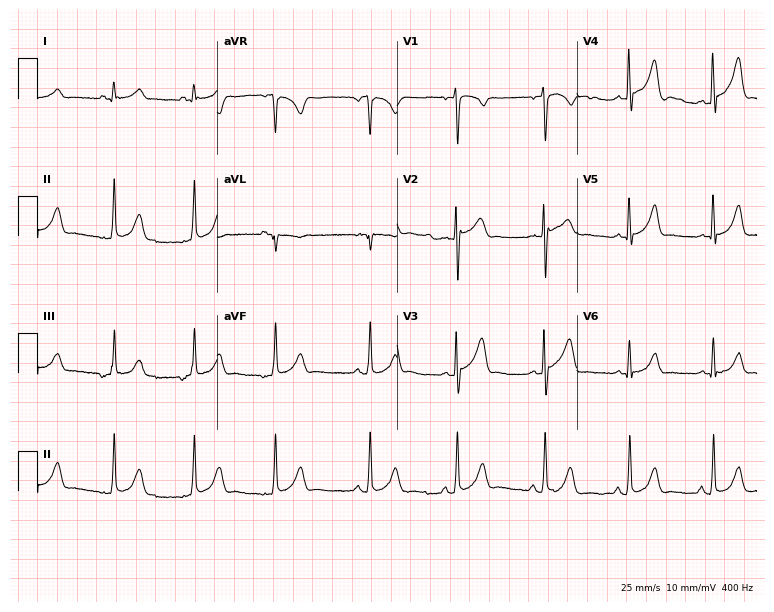
Standard 12-lead ECG recorded from a 23-year-old male patient. None of these six findings is recorded: first-degree AV block, right bundle branch block, left bundle branch block, sinus bradycardia, atrial fibrillation, sinus tachycardia. Findings outside these six are not listed.